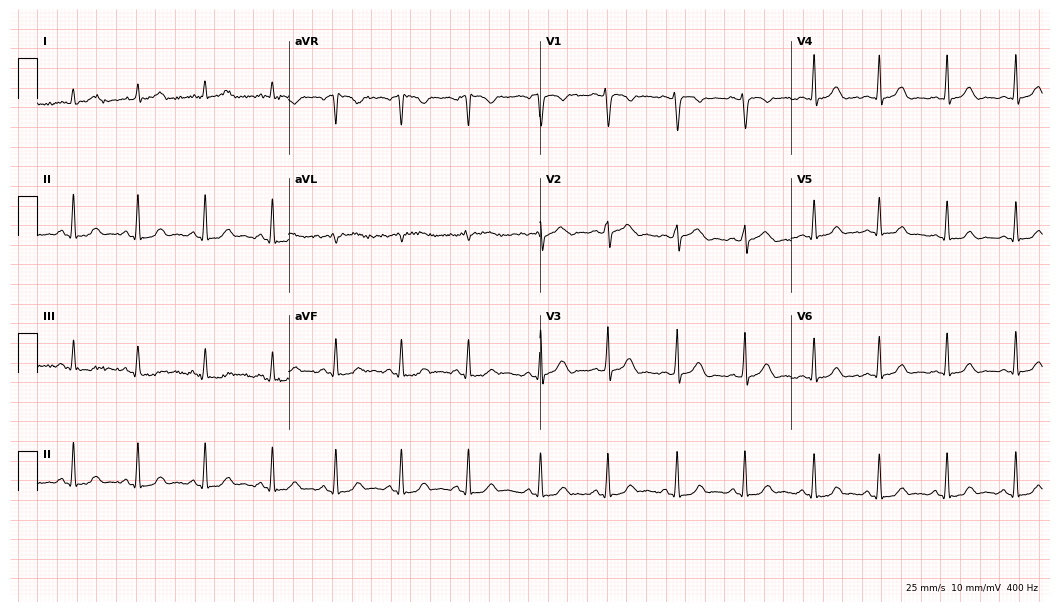
Resting 12-lead electrocardiogram. Patient: a 27-year-old woman. None of these six findings is recorded: first-degree AV block, right bundle branch block, left bundle branch block, sinus bradycardia, atrial fibrillation, sinus tachycardia. Findings outside these six are not listed.